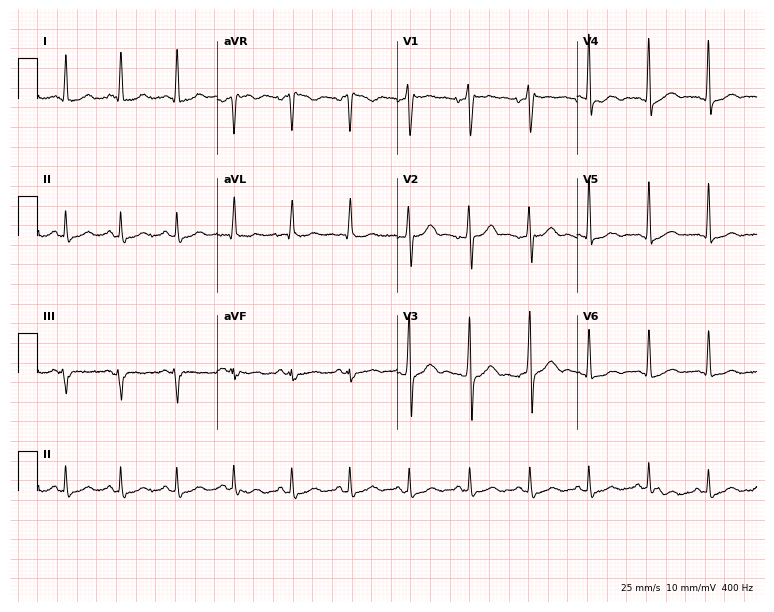
Resting 12-lead electrocardiogram. Patient: a 24-year-old male. None of these six findings is recorded: first-degree AV block, right bundle branch block, left bundle branch block, sinus bradycardia, atrial fibrillation, sinus tachycardia. Other findings, if any, are not listed.